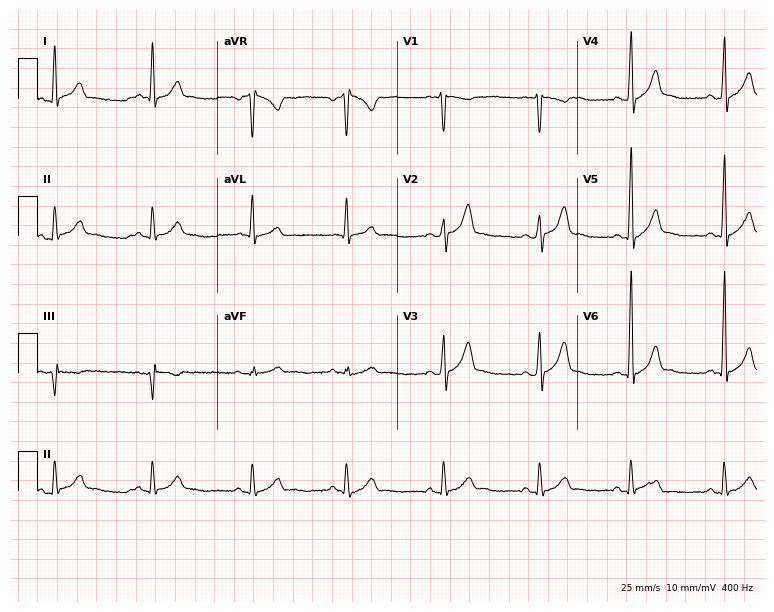
Standard 12-lead ECG recorded from a man, 29 years old (7.3-second recording at 400 Hz). Read as a normal ECG.